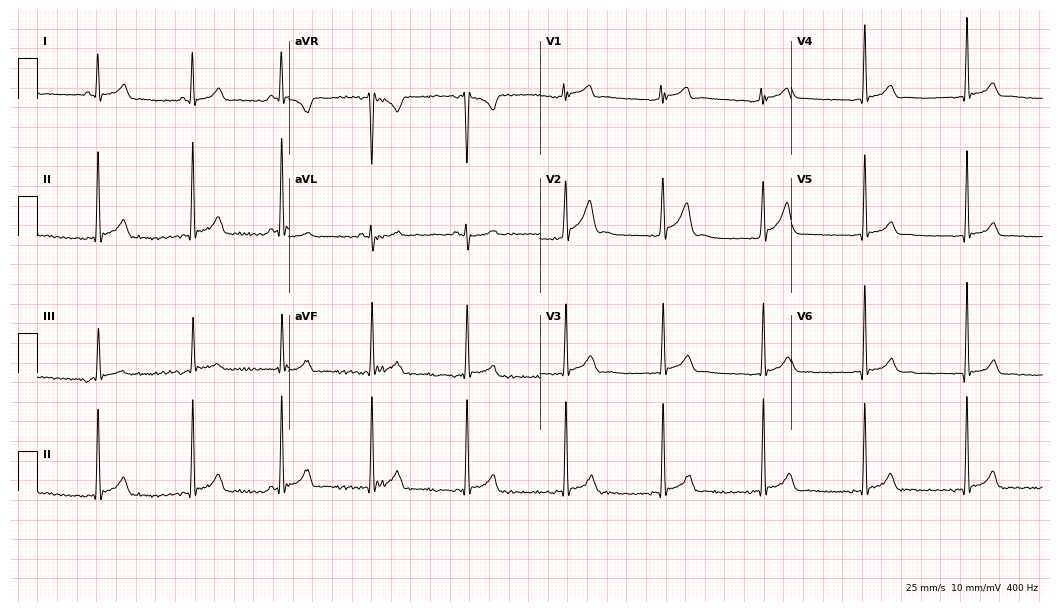
12-lead ECG from a male, 19 years old. Screened for six findings — first-degree AV block, right bundle branch block, left bundle branch block, sinus bradycardia, atrial fibrillation, sinus tachycardia — none is recorded. Only these six findings were labelled.